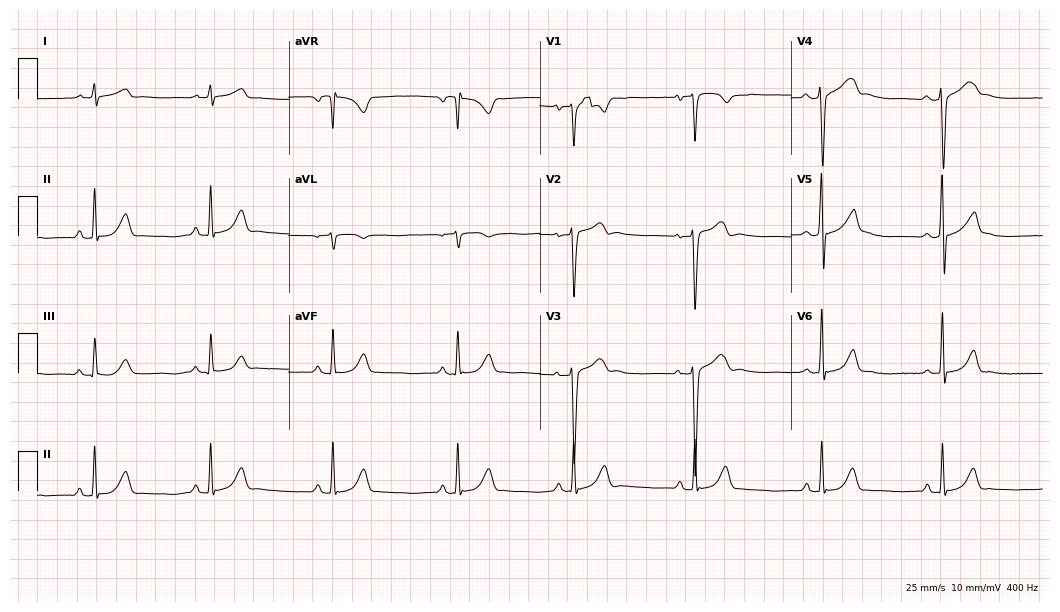
12-lead ECG (10.2-second recording at 400 Hz) from a 22-year-old male patient. Labelled as a normal ECG.